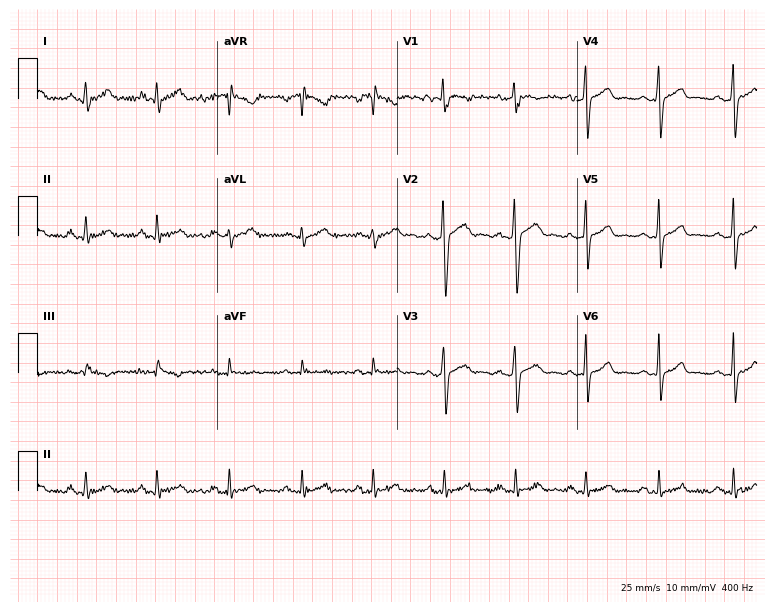
Resting 12-lead electrocardiogram (7.3-second recording at 400 Hz). Patient: a 20-year-old man. Read as a normal ECG.